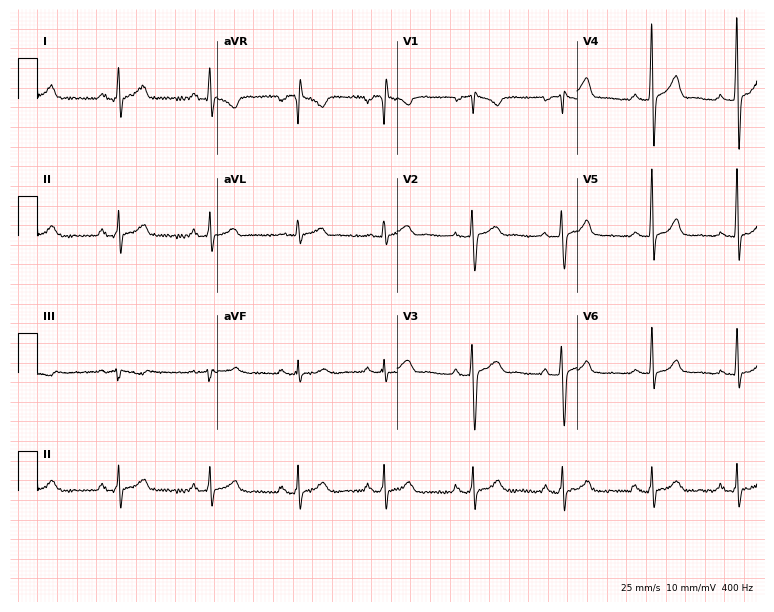
12-lead ECG from a 36-year-old man (7.3-second recording at 400 Hz). No first-degree AV block, right bundle branch block, left bundle branch block, sinus bradycardia, atrial fibrillation or sinus tachycardia recorded for this tracing.